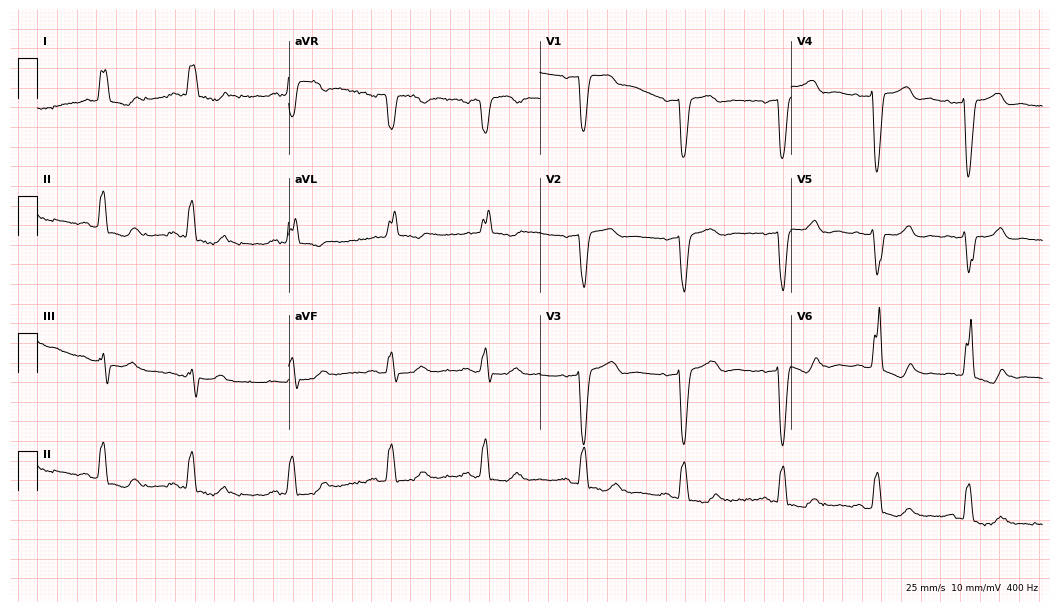
Resting 12-lead electrocardiogram (10.2-second recording at 400 Hz). Patient: a 78-year-old female. The tracing shows left bundle branch block.